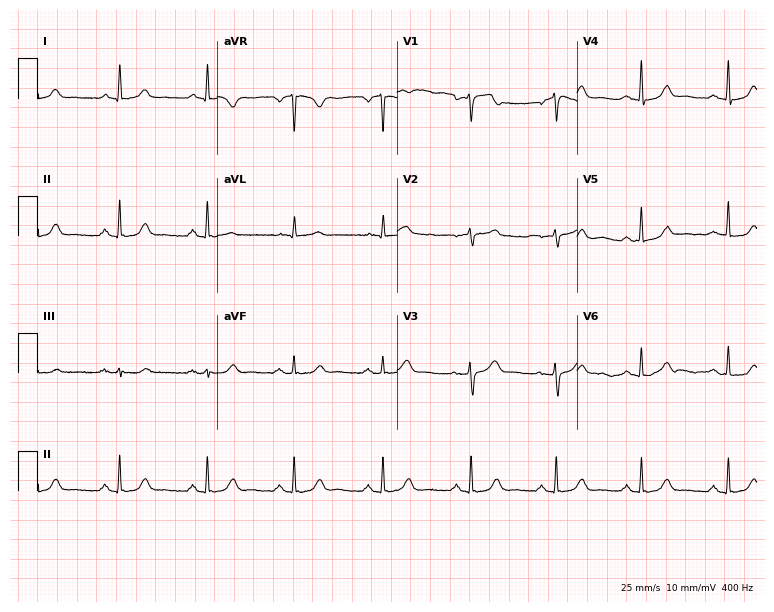
12-lead ECG from a female, 64 years old. Recorded interpretation: within normal limits.